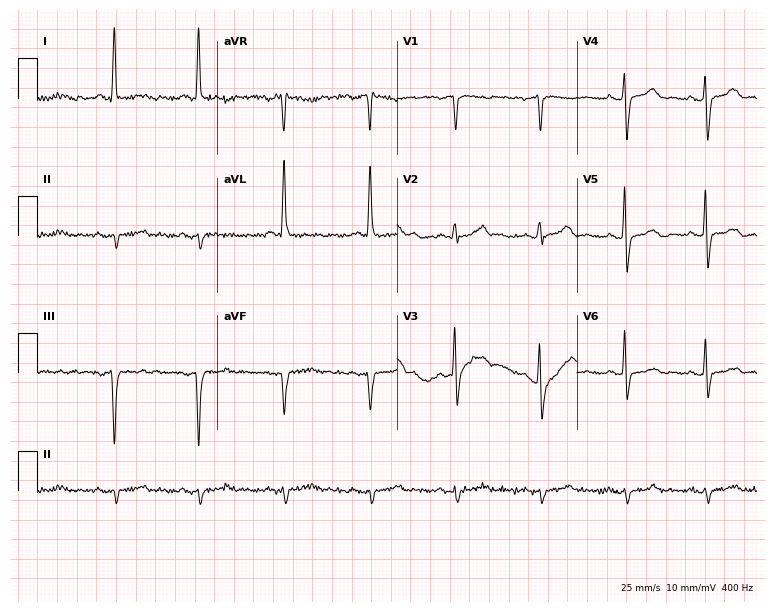
Standard 12-lead ECG recorded from a 79-year-old male patient (7.3-second recording at 400 Hz). None of these six findings is recorded: first-degree AV block, right bundle branch block, left bundle branch block, sinus bradycardia, atrial fibrillation, sinus tachycardia. Other findings, if any, are not listed.